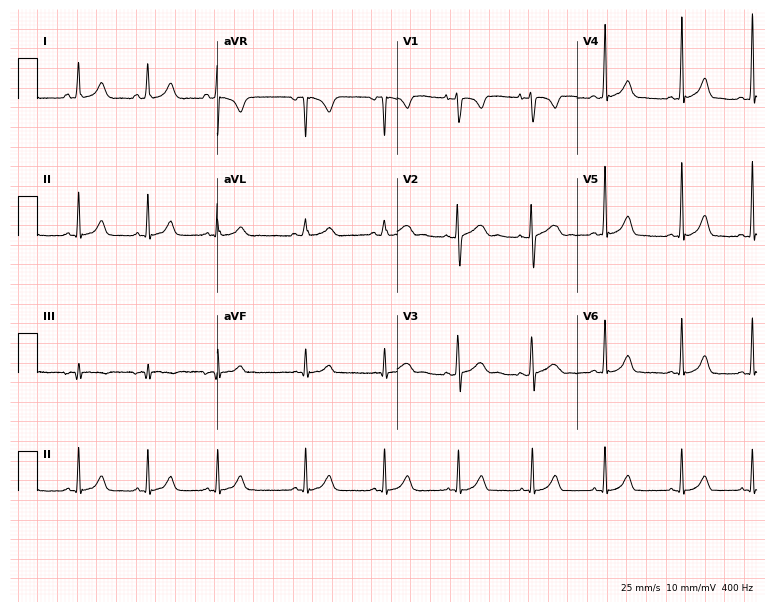
Standard 12-lead ECG recorded from a 24-year-old woman (7.3-second recording at 400 Hz). None of these six findings is recorded: first-degree AV block, right bundle branch block (RBBB), left bundle branch block (LBBB), sinus bradycardia, atrial fibrillation (AF), sinus tachycardia. Other findings, if any, are not listed.